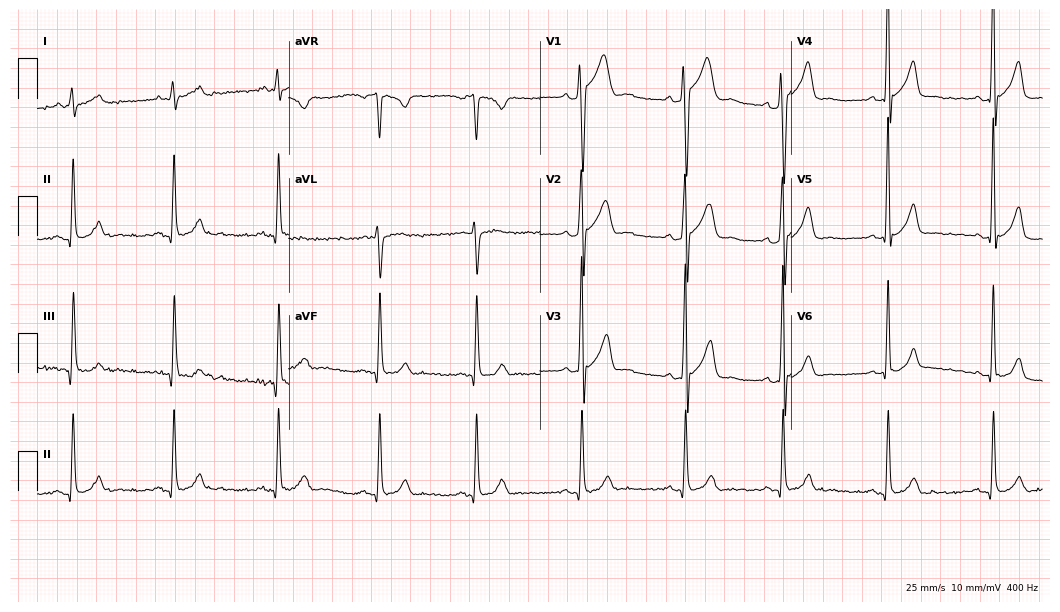
12-lead ECG (10.2-second recording at 400 Hz) from a male patient, 20 years old. Screened for six findings — first-degree AV block, right bundle branch block, left bundle branch block, sinus bradycardia, atrial fibrillation, sinus tachycardia — none is recorded. Only these six findings were labelled.